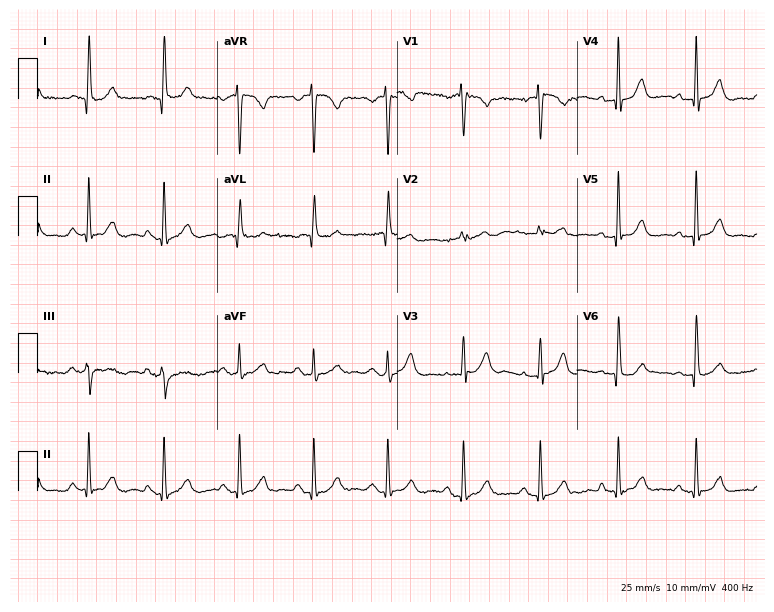
ECG (7.3-second recording at 400 Hz) — a female, 59 years old. Labelled as a normal ECG.